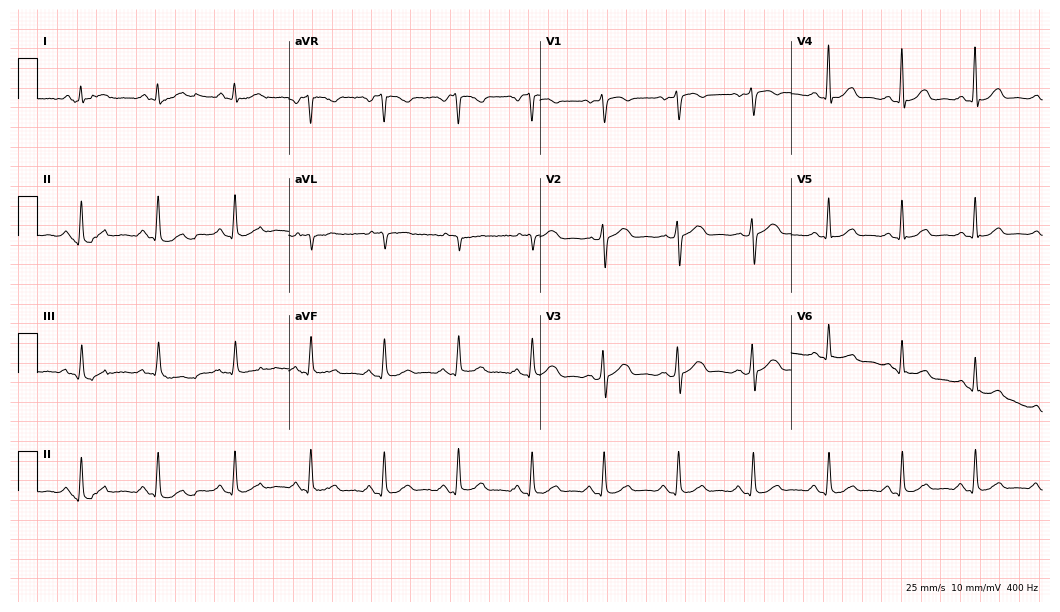
ECG (10.2-second recording at 400 Hz) — a 61-year-old woman. Screened for six findings — first-degree AV block, right bundle branch block, left bundle branch block, sinus bradycardia, atrial fibrillation, sinus tachycardia — none is recorded.